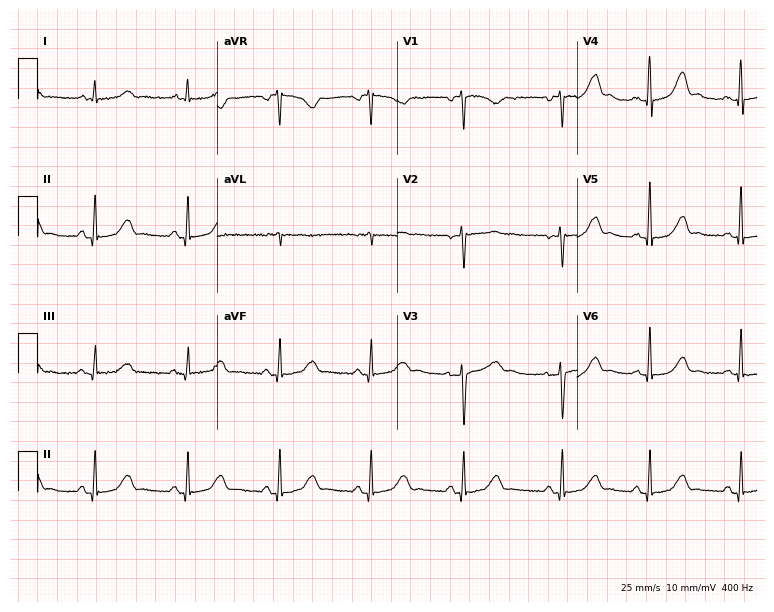
Standard 12-lead ECG recorded from a 52-year-old female patient. Read as a normal ECG.